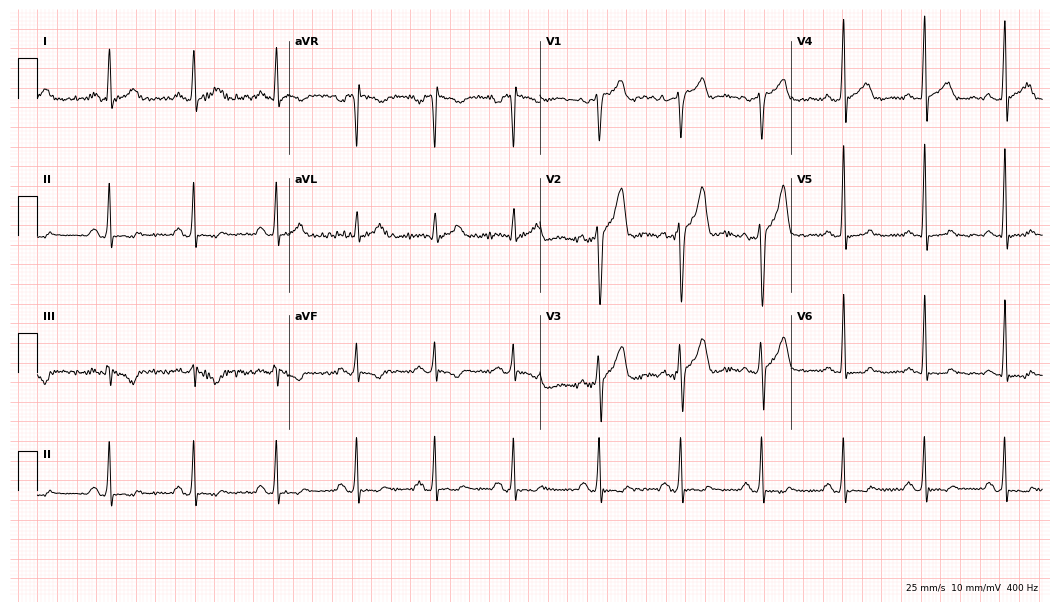
12-lead ECG (10.2-second recording at 400 Hz) from a 32-year-old male. Screened for six findings — first-degree AV block, right bundle branch block, left bundle branch block, sinus bradycardia, atrial fibrillation, sinus tachycardia — none is recorded.